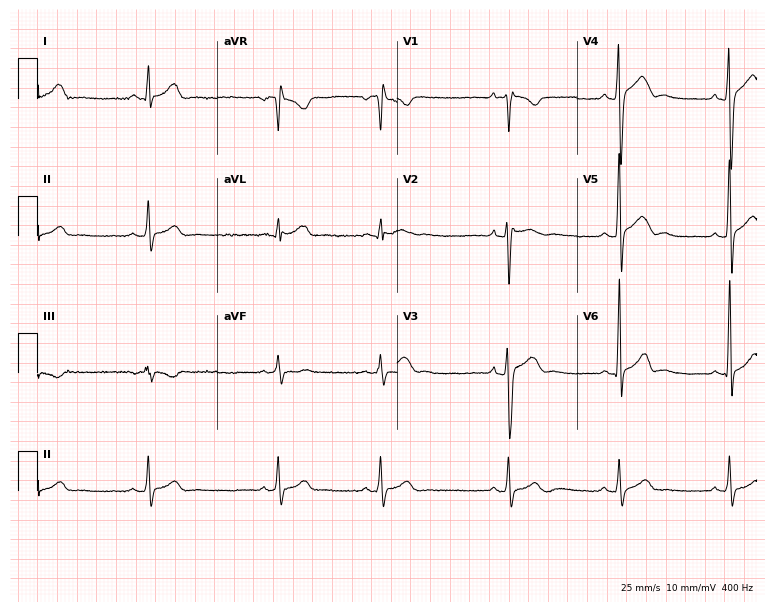
Electrocardiogram (7.3-second recording at 400 Hz), a 23-year-old male. Of the six screened findings (first-degree AV block, right bundle branch block, left bundle branch block, sinus bradycardia, atrial fibrillation, sinus tachycardia), none is recorded. Other findings, if any, are not listed.